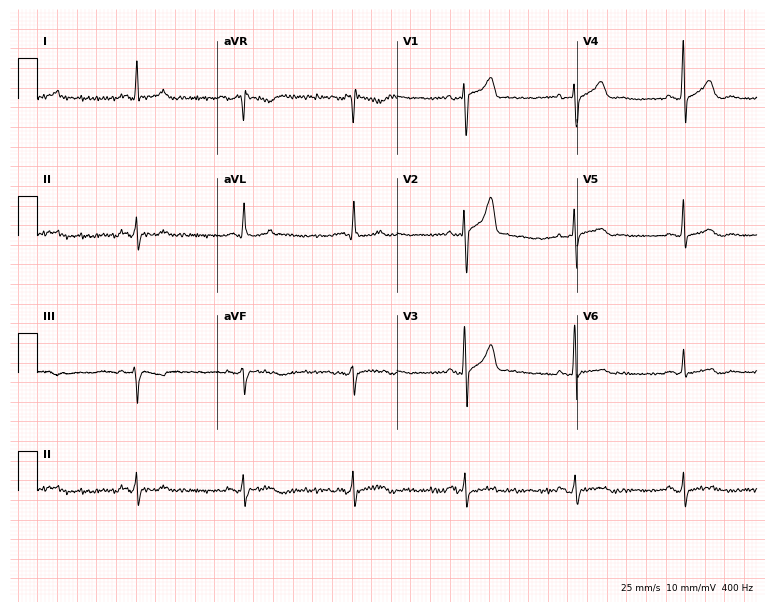
Electrocardiogram (7.3-second recording at 400 Hz), a 54-year-old male patient. Of the six screened findings (first-degree AV block, right bundle branch block, left bundle branch block, sinus bradycardia, atrial fibrillation, sinus tachycardia), none is recorded.